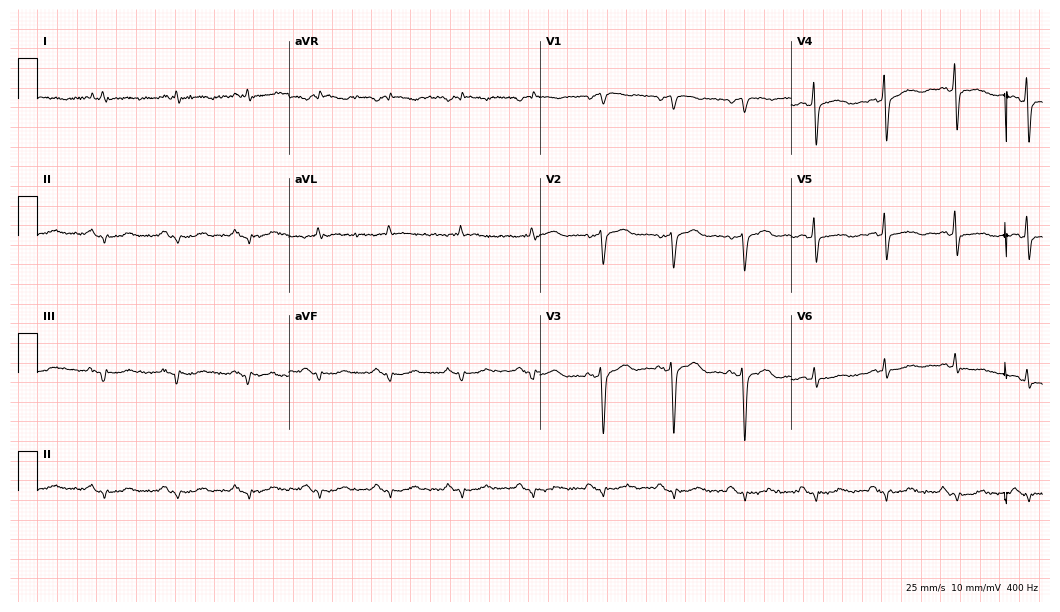
12-lead ECG (10.2-second recording at 400 Hz) from a male patient, 74 years old. Screened for six findings — first-degree AV block, right bundle branch block, left bundle branch block, sinus bradycardia, atrial fibrillation, sinus tachycardia — none is recorded. Only these six findings were labelled.